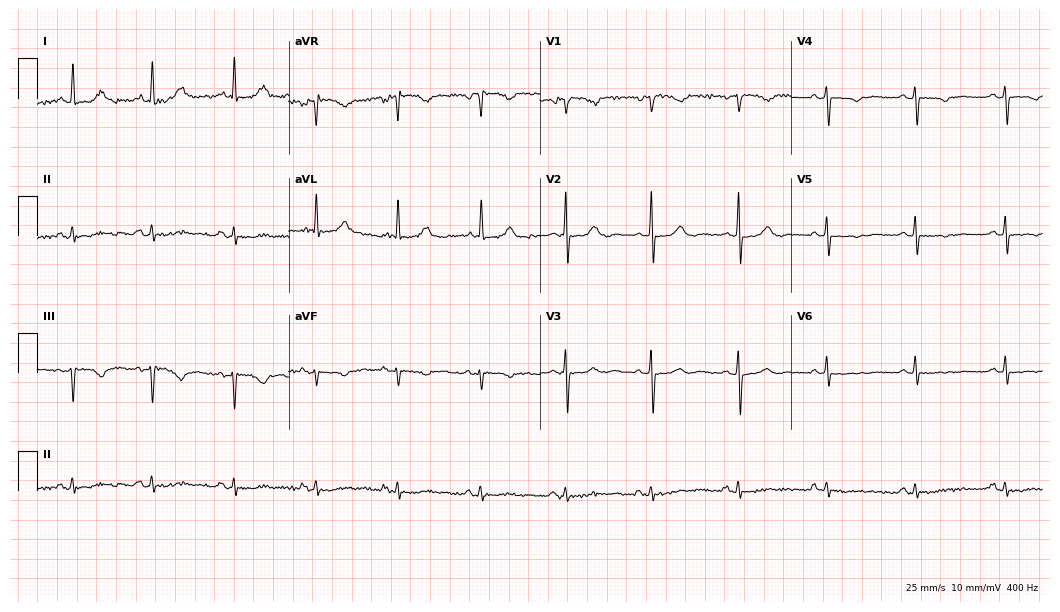
12-lead ECG from an 82-year-old female patient. No first-degree AV block, right bundle branch block (RBBB), left bundle branch block (LBBB), sinus bradycardia, atrial fibrillation (AF) or sinus tachycardia recorded for this tracing.